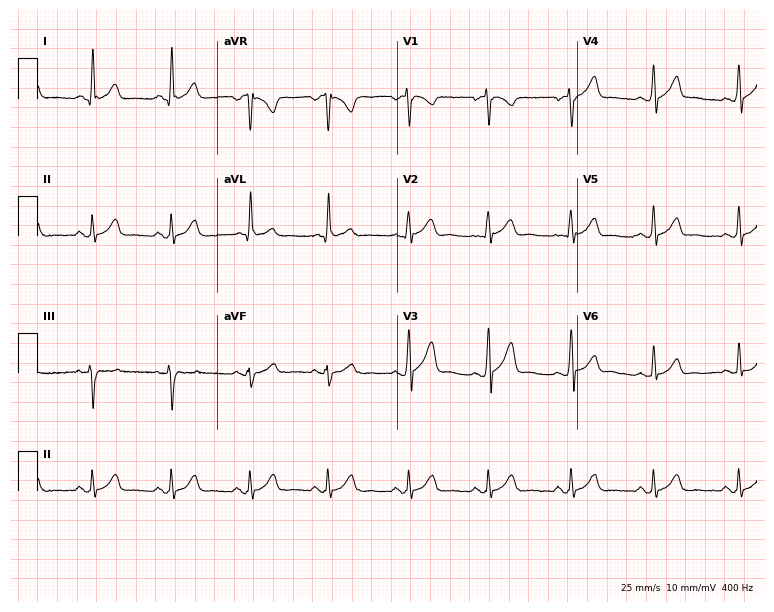
12-lead ECG from a 29-year-old male. Recorded interpretation: within normal limits.